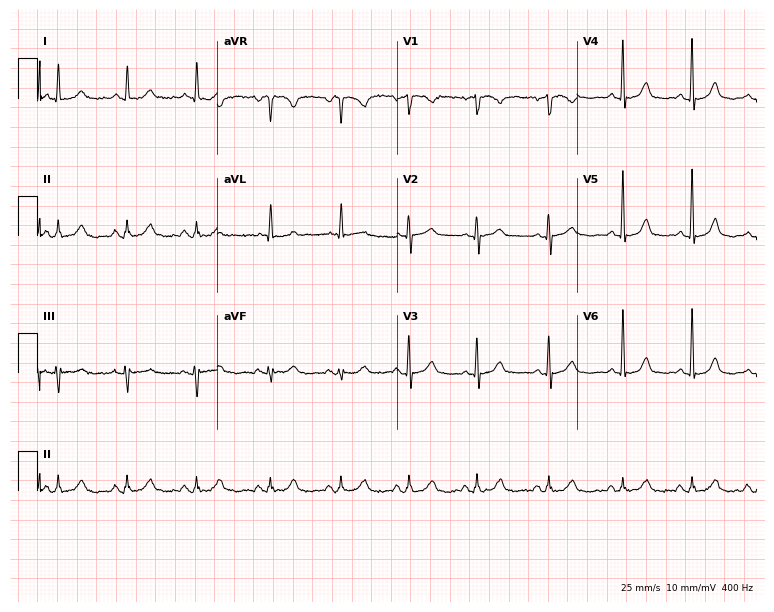
12-lead ECG from a 69-year-old female. No first-degree AV block, right bundle branch block, left bundle branch block, sinus bradycardia, atrial fibrillation or sinus tachycardia recorded for this tracing. Other findings, if any, are not listed.